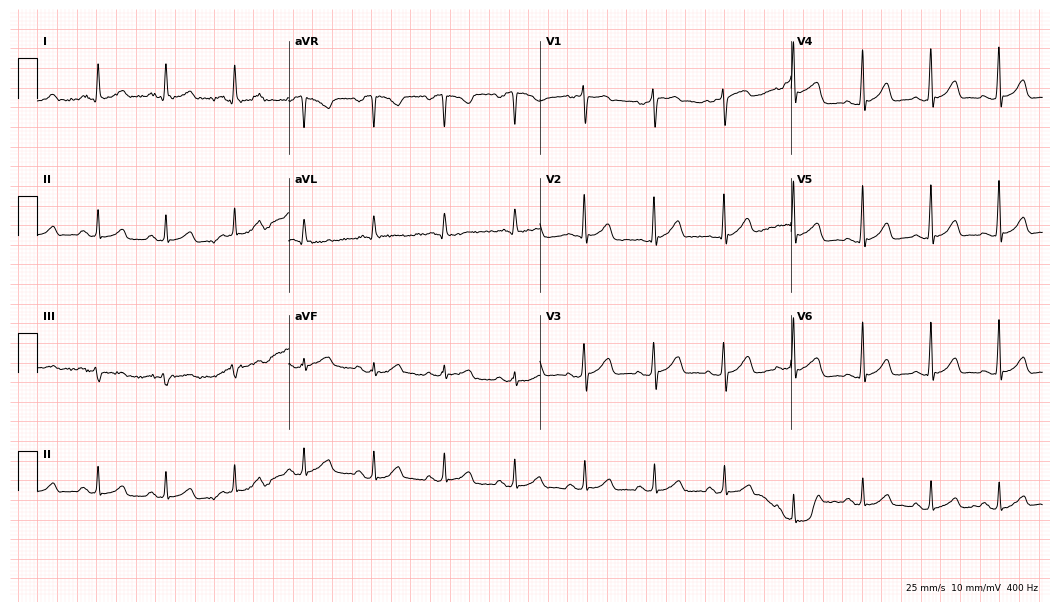
Resting 12-lead electrocardiogram. Patient: a 54-year-old female. Read as a normal ECG.